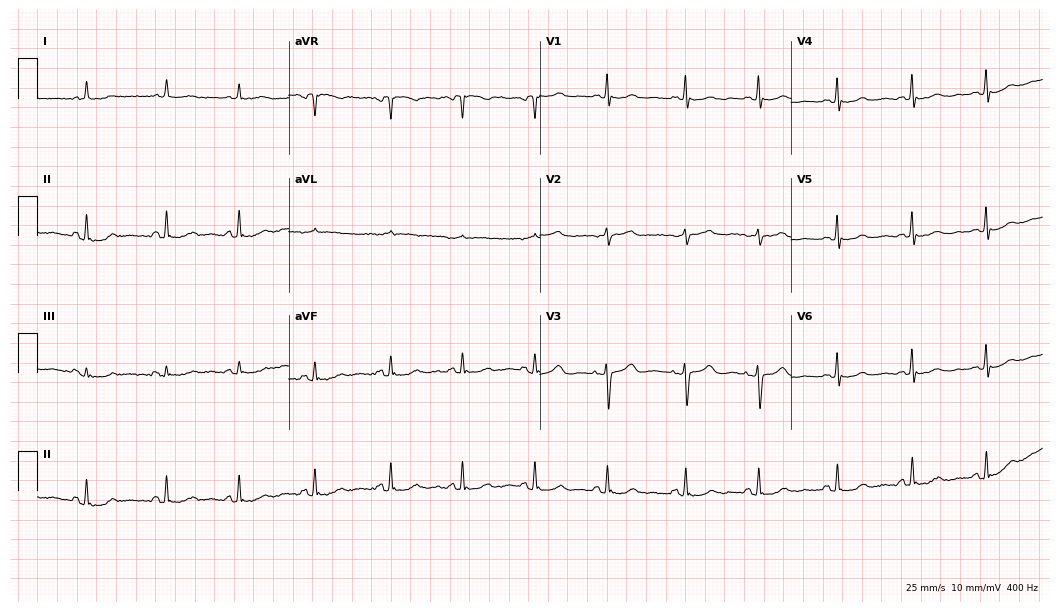
Standard 12-lead ECG recorded from a 66-year-old woman (10.2-second recording at 400 Hz). Read as a normal ECG.